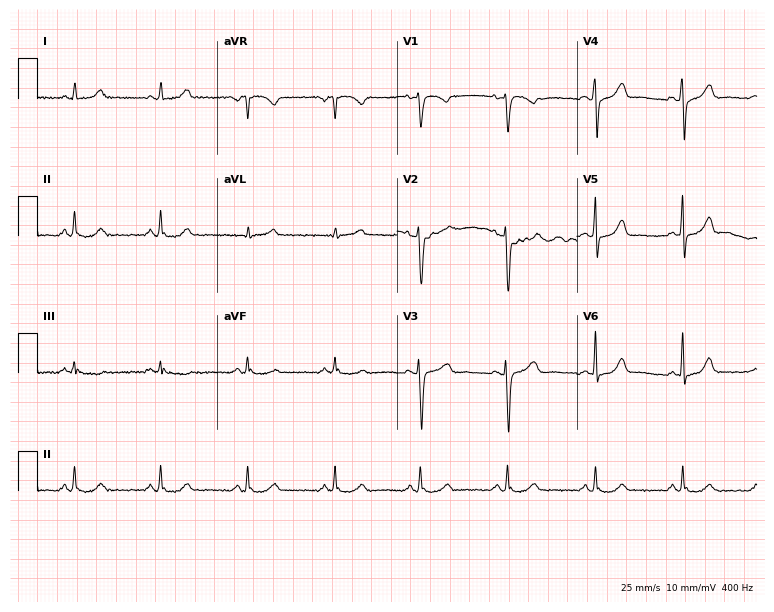
Resting 12-lead electrocardiogram (7.3-second recording at 400 Hz). Patient: a 43-year-old woman. None of these six findings is recorded: first-degree AV block, right bundle branch block (RBBB), left bundle branch block (LBBB), sinus bradycardia, atrial fibrillation (AF), sinus tachycardia.